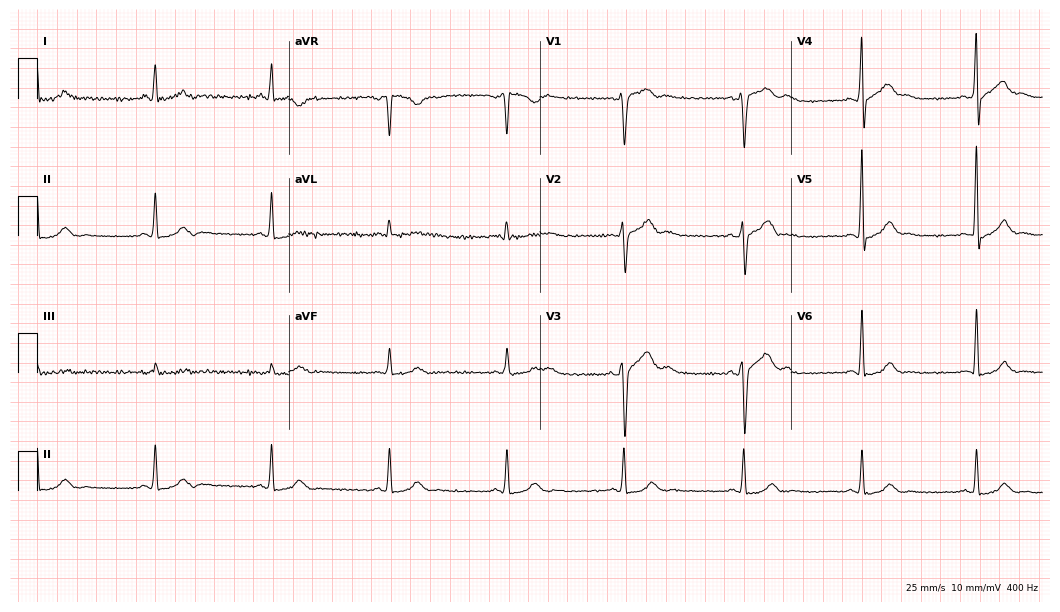
ECG (10.2-second recording at 400 Hz) — a 53-year-old man. Labelled as a normal ECG.